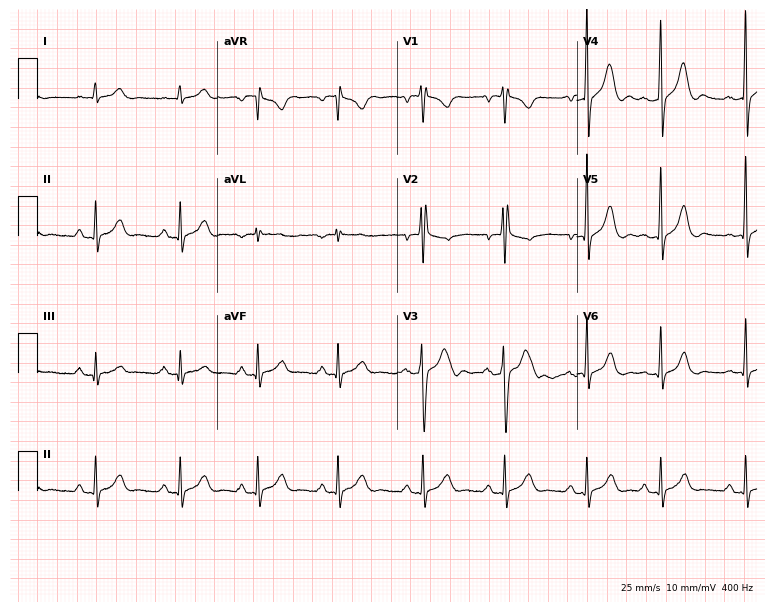
12-lead ECG from a 24-year-old male. Screened for six findings — first-degree AV block, right bundle branch block, left bundle branch block, sinus bradycardia, atrial fibrillation, sinus tachycardia — none is recorded.